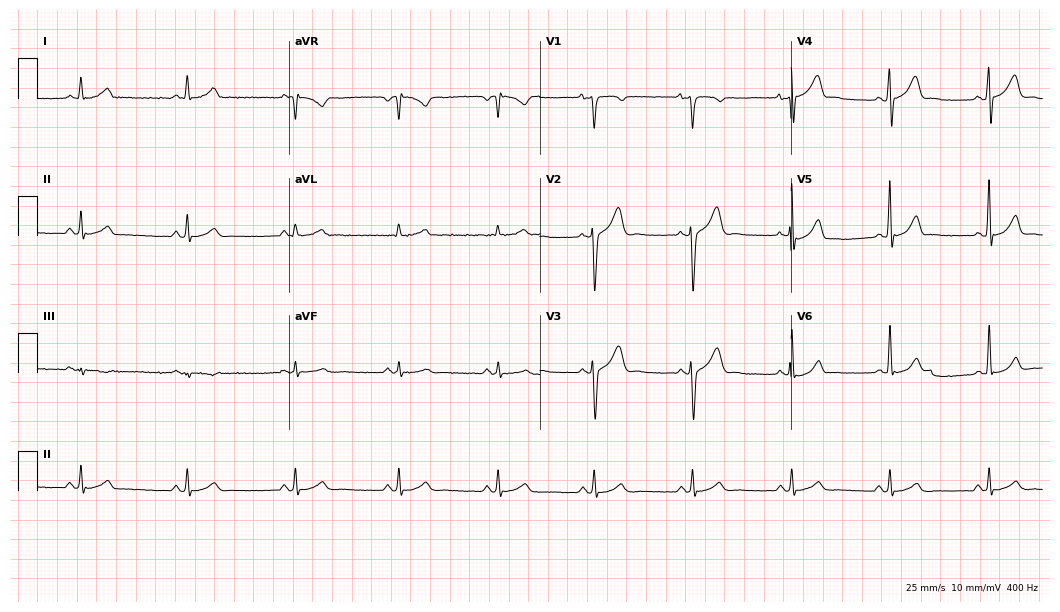
12-lead ECG from a man, 44 years old (10.2-second recording at 400 Hz). Recorded interpretation: within normal limits.